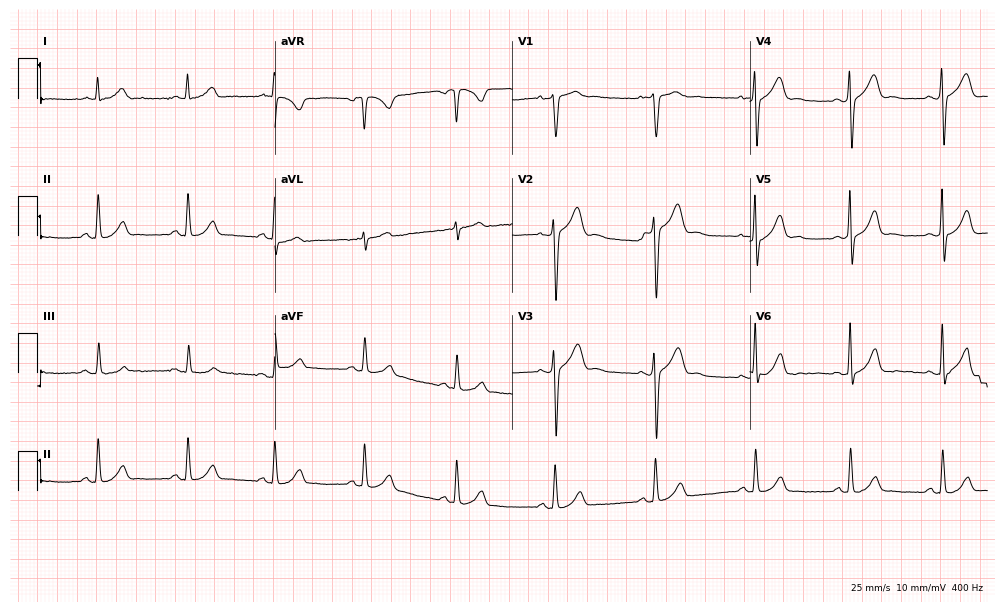
Electrocardiogram, a 36-year-old male. Overall reading on record: normal ECG.